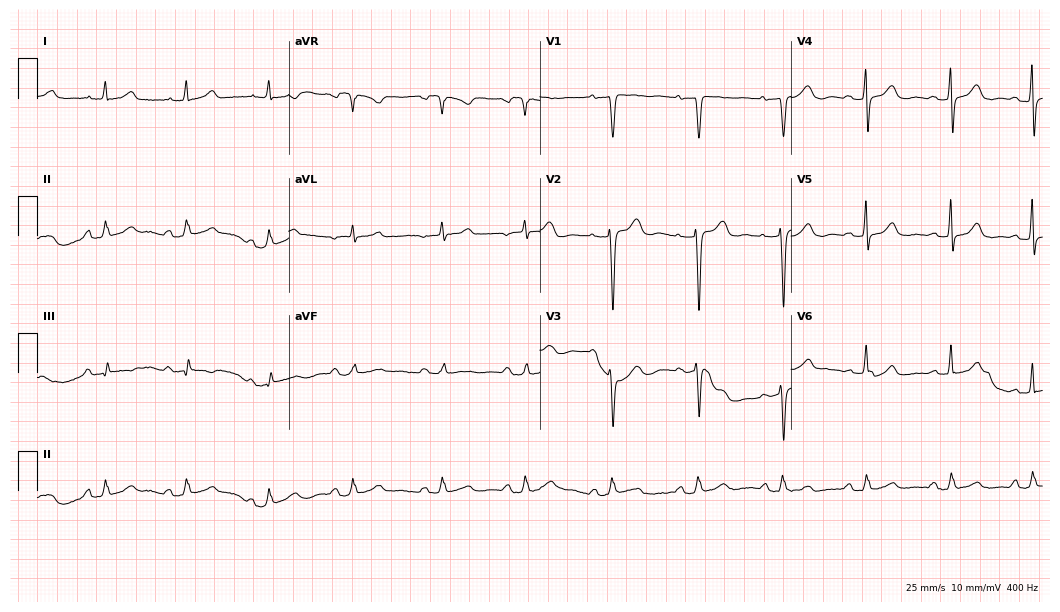
Electrocardiogram (10.2-second recording at 400 Hz), a female, 77 years old. Overall reading on record: normal ECG.